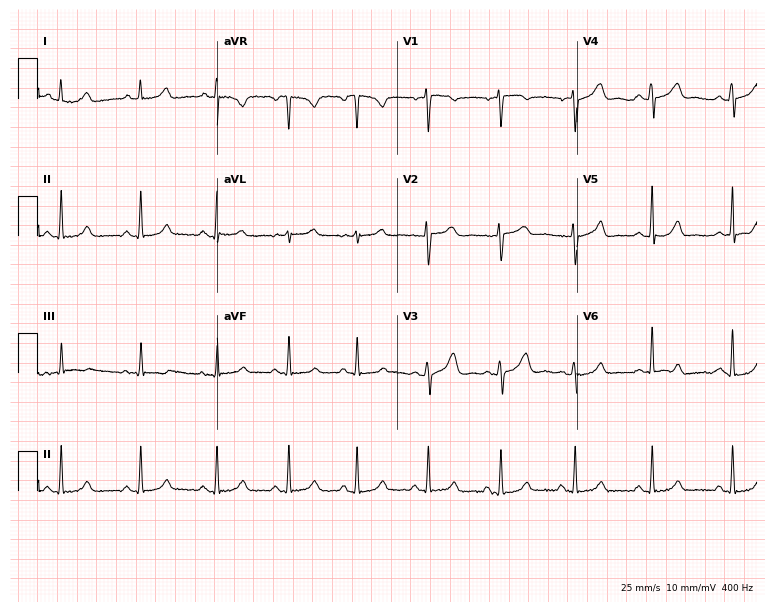
Resting 12-lead electrocardiogram. Patient: a woman, 29 years old. Read as a normal ECG.